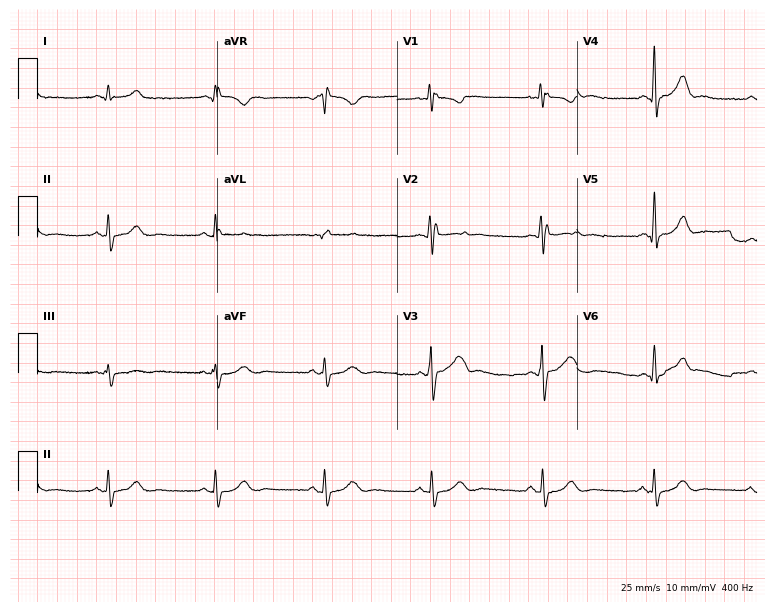
Resting 12-lead electrocardiogram. Patient: a 38-year-old male. None of these six findings is recorded: first-degree AV block, right bundle branch block, left bundle branch block, sinus bradycardia, atrial fibrillation, sinus tachycardia. Findings outside these six are not listed.